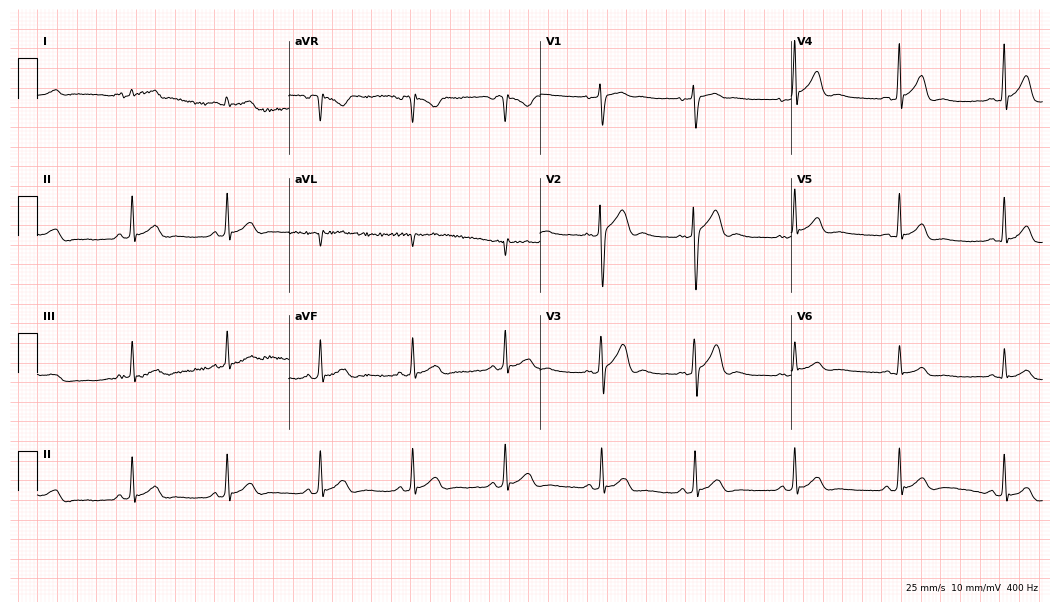
Electrocardiogram, a 24-year-old man. Of the six screened findings (first-degree AV block, right bundle branch block, left bundle branch block, sinus bradycardia, atrial fibrillation, sinus tachycardia), none is recorded.